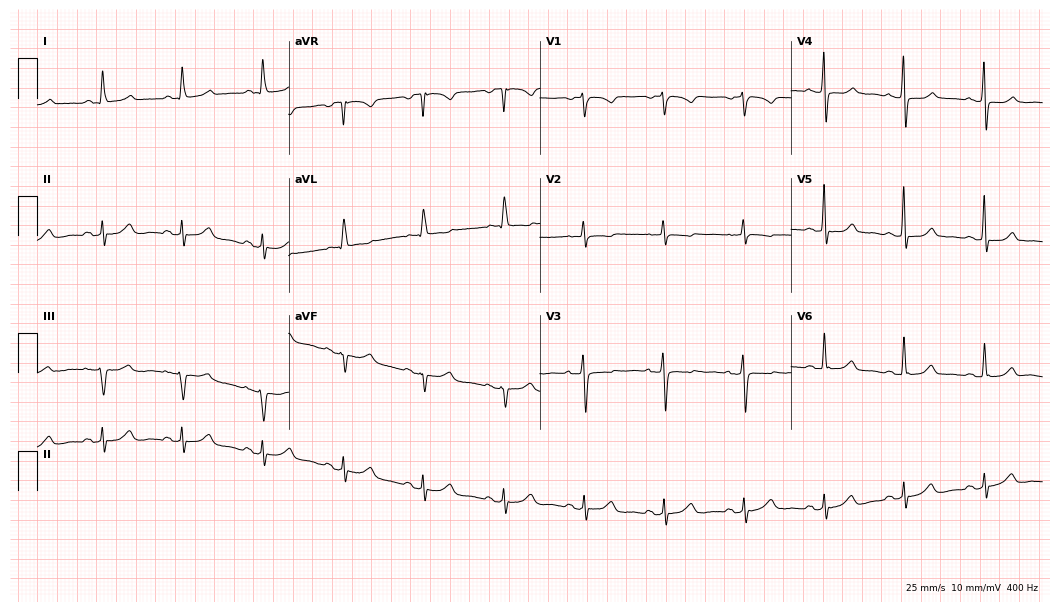
12-lead ECG (10.2-second recording at 400 Hz) from a female, 71 years old. Screened for six findings — first-degree AV block, right bundle branch block, left bundle branch block, sinus bradycardia, atrial fibrillation, sinus tachycardia — none is recorded.